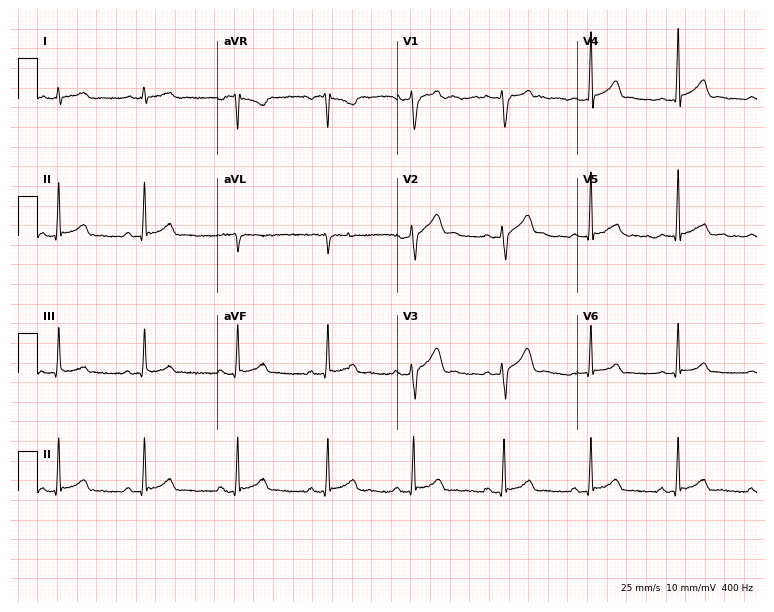
ECG (7.3-second recording at 400 Hz) — a man, 23 years old. Screened for six findings — first-degree AV block, right bundle branch block, left bundle branch block, sinus bradycardia, atrial fibrillation, sinus tachycardia — none is recorded. Other findings, if any, are not listed.